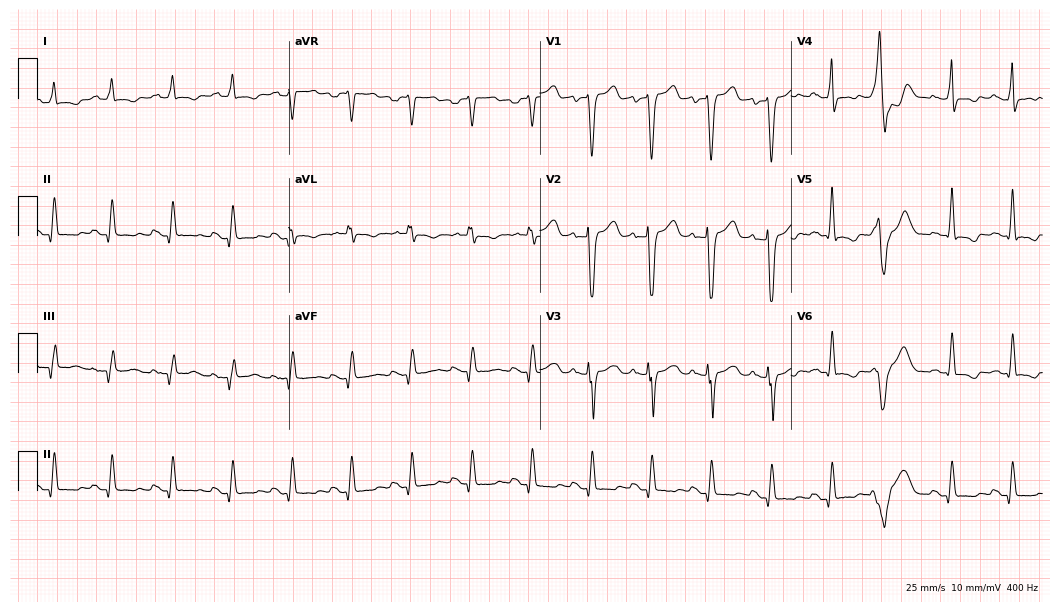
Standard 12-lead ECG recorded from a 56-year-old male. None of these six findings is recorded: first-degree AV block, right bundle branch block, left bundle branch block, sinus bradycardia, atrial fibrillation, sinus tachycardia.